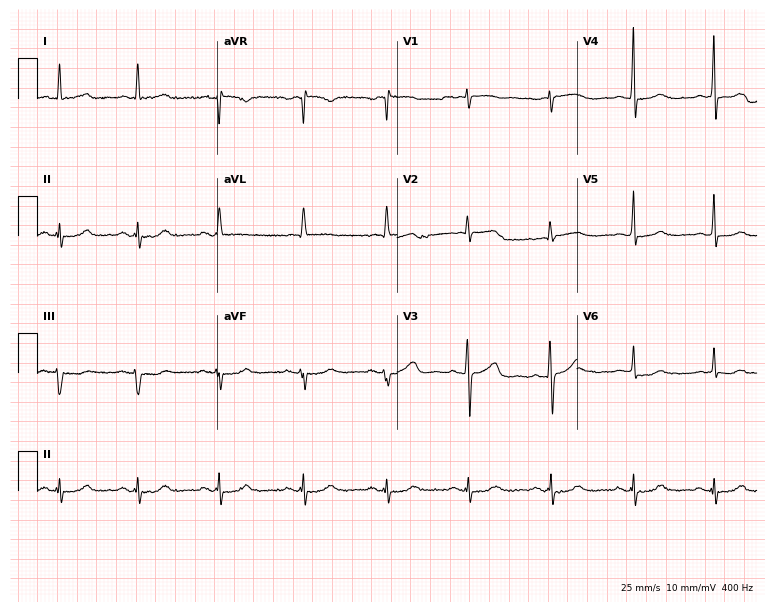
12-lead ECG (7.3-second recording at 400 Hz) from a 76-year-old female patient. Screened for six findings — first-degree AV block, right bundle branch block (RBBB), left bundle branch block (LBBB), sinus bradycardia, atrial fibrillation (AF), sinus tachycardia — none is recorded.